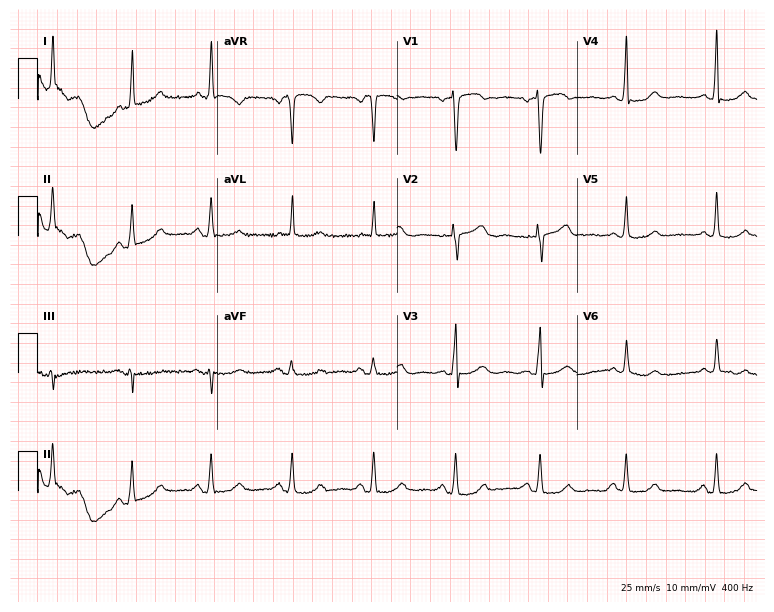
Resting 12-lead electrocardiogram. Patient: a 71-year-old female. Read as a normal ECG.